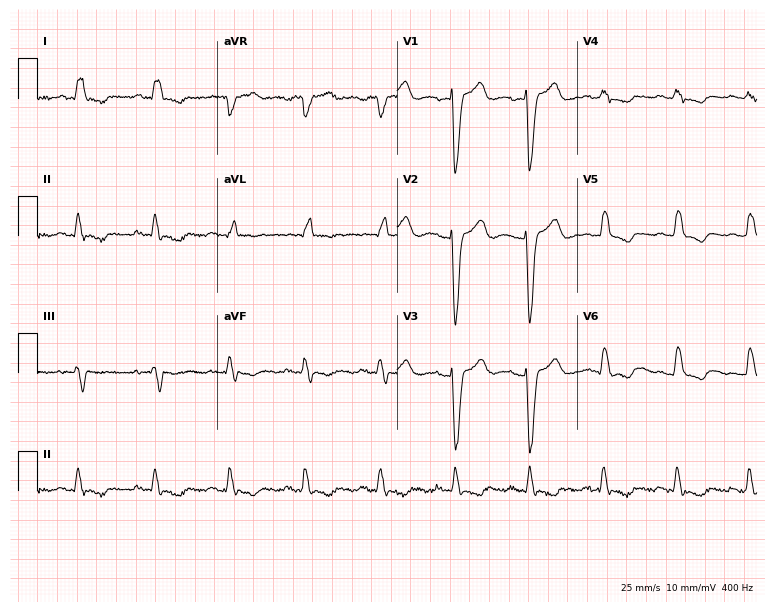
Resting 12-lead electrocardiogram. Patient: a woman, 73 years old. The tracing shows left bundle branch block (LBBB).